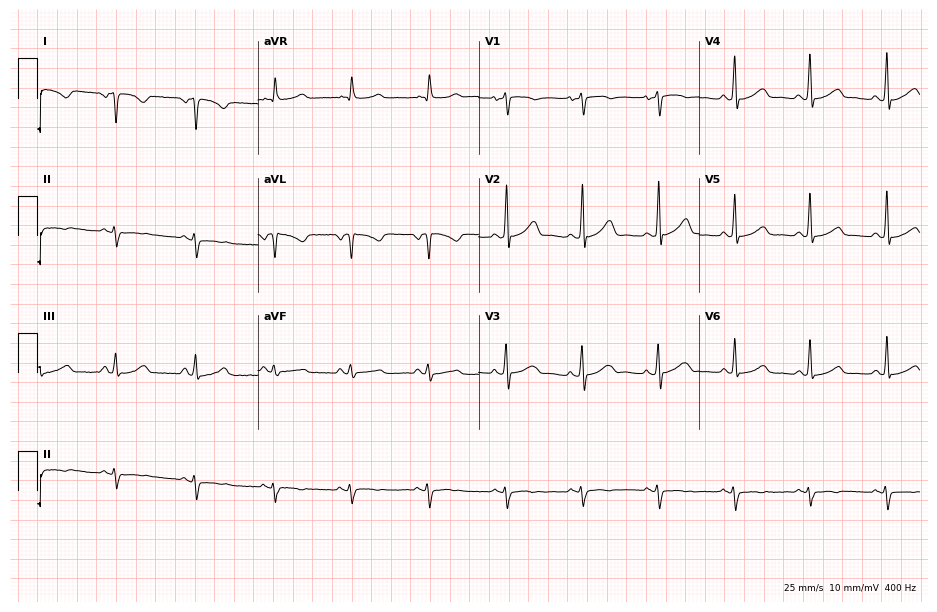
ECG — a female patient, 57 years old. Screened for six findings — first-degree AV block, right bundle branch block, left bundle branch block, sinus bradycardia, atrial fibrillation, sinus tachycardia — none is recorded. Only these six findings were labelled.